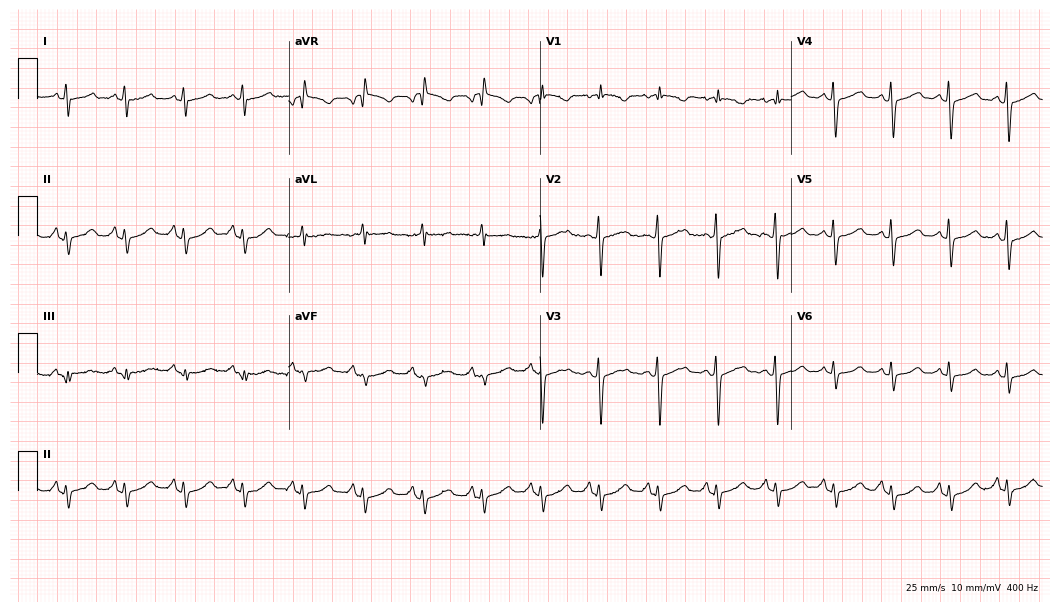
Electrocardiogram (10.2-second recording at 400 Hz), a woman, 44 years old. Of the six screened findings (first-degree AV block, right bundle branch block (RBBB), left bundle branch block (LBBB), sinus bradycardia, atrial fibrillation (AF), sinus tachycardia), none is recorded.